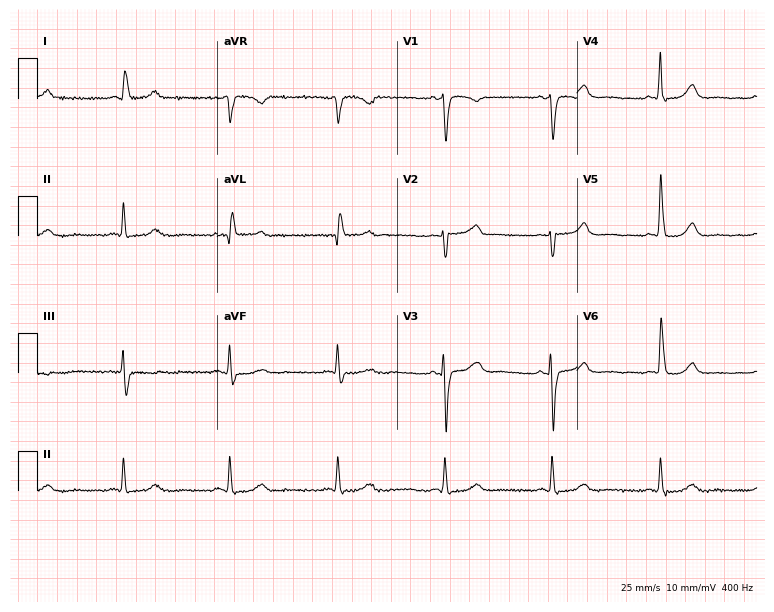
ECG (7.3-second recording at 400 Hz) — a female, 76 years old. Labelled as a normal ECG.